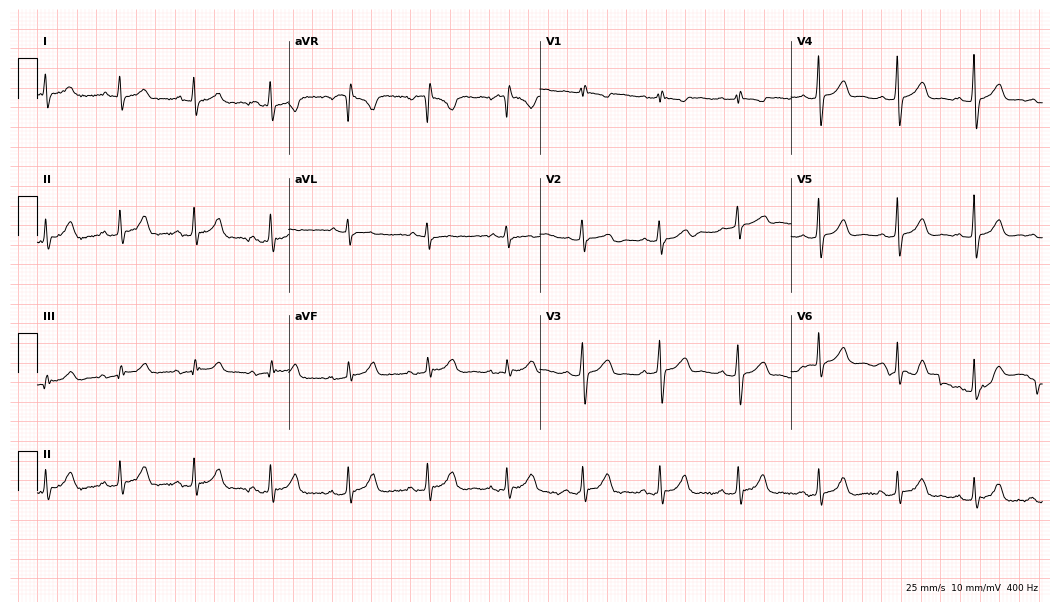
Standard 12-lead ECG recorded from a woman, 25 years old. Read as a normal ECG.